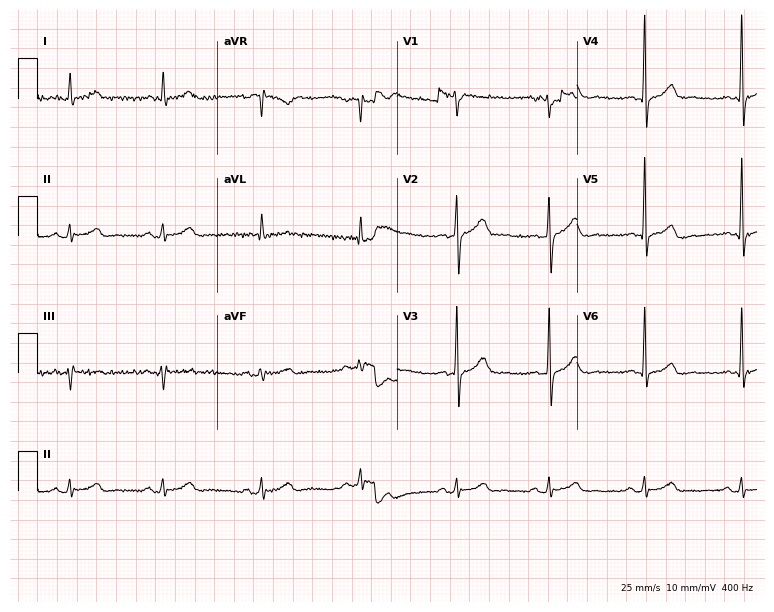
12-lead ECG from a 52-year-old man. Screened for six findings — first-degree AV block, right bundle branch block, left bundle branch block, sinus bradycardia, atrial fibrillation, sinus tachycardia — none is recorded.